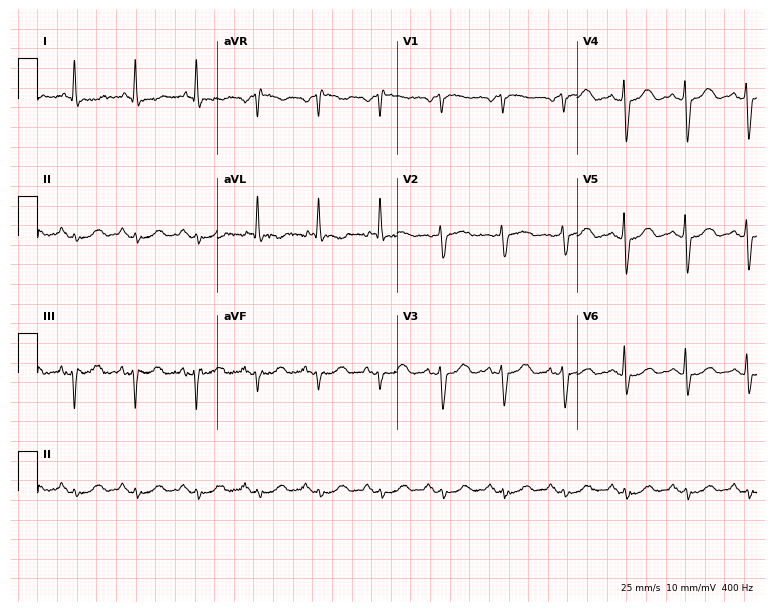
Standard 12-lead ECG recorded from a 77-year-old female (7.3-second recording at 400 Hz). None of these six findings is recorded: first-degree AV block, right bundle branch block, left bundle branch block, sinus bradycardia, atrial fibrillation, sinus tachycardia.